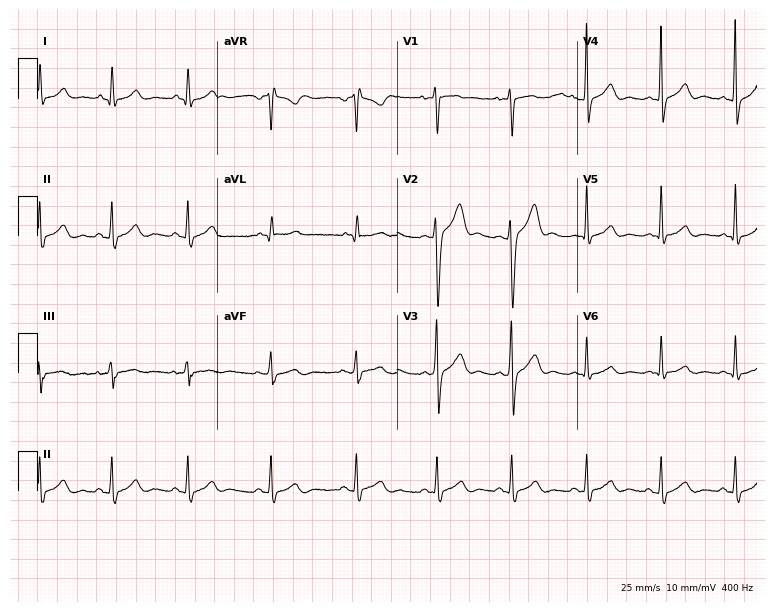
12-lead ECG (7.3-second recording at 400 Hz) from a 22-year-old male. Screened for six findings — first-degree AV block, right bundle branch block, left bundle branch block, sinus bradycardia, atrial fibrillation, sinus tachycardia — none is recorded. Only these six findings were labelled.